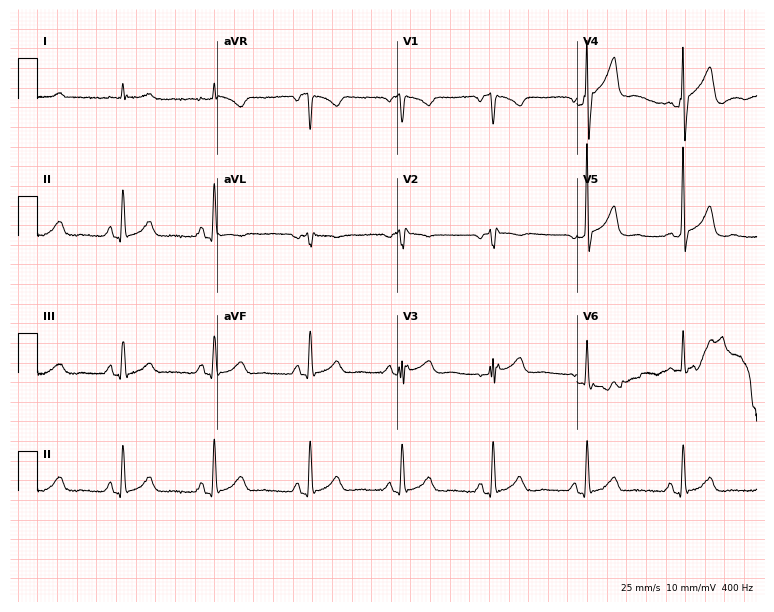
12-lead ECG from an 83-year-old female. Screened for six findings — first-degree AV block, right bundle branch block (RBBB), left bundle branch block (LBBB), sinus bradycardia, atrial fibrillation (AF), sinus tachycardia — none is recorded. Other findings, if any, are not listed.